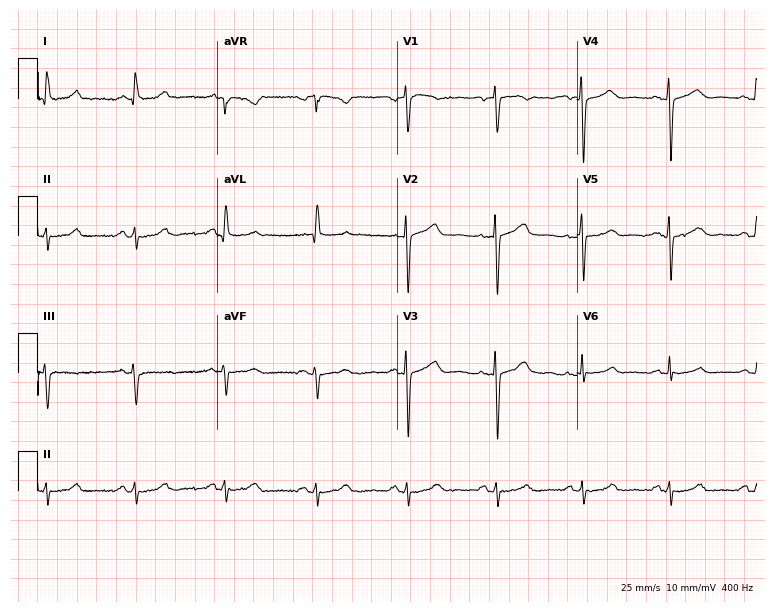
Electrocardiogram, a woman, 52 years old. Of the six screened findings (first-degree AV block, right bundle branch block, left bundle branch block, sinus bradycardia, atrial fibrillation, sinus tachycardia), none is recorded.